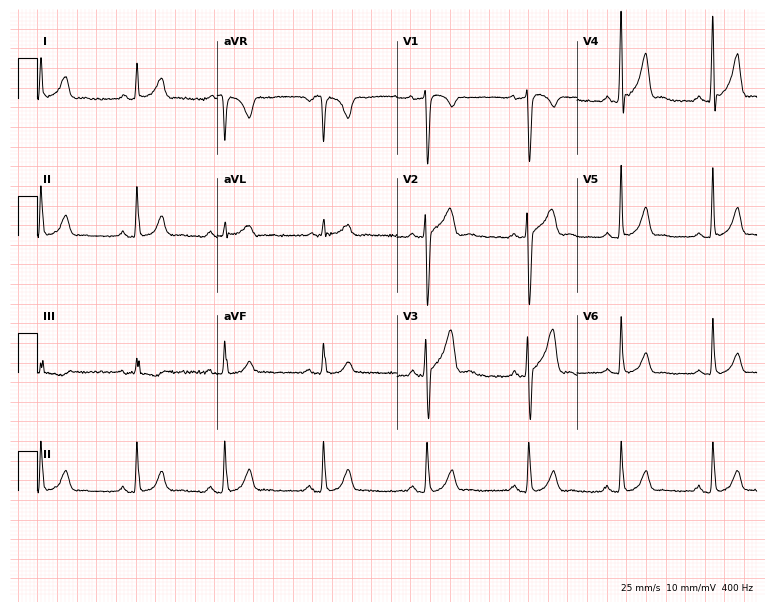
ECG (7.3-second recording at 400 Hz) — a 31-year-old male patient. Labelled as a normal ECG.